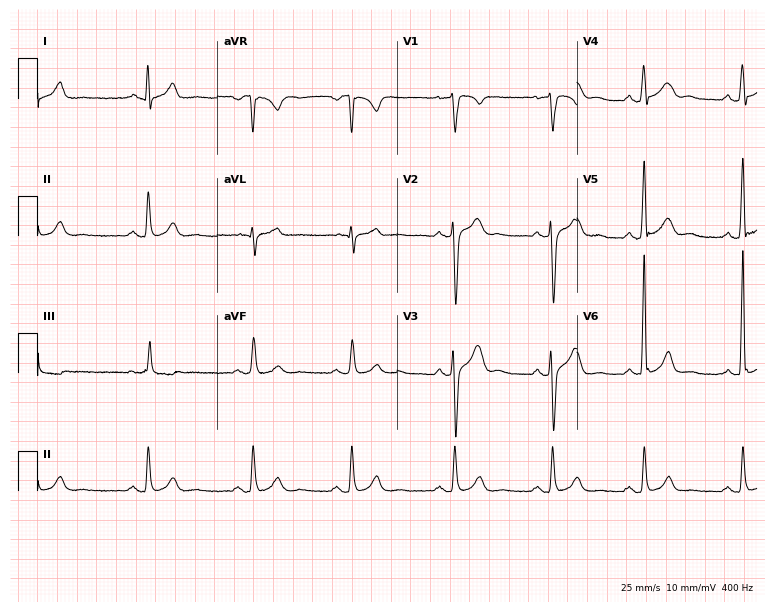
12-lead ECG (7.3-second recording at 400 Hz) from a male patient, 40 years old. Labelled as a normal ECG.